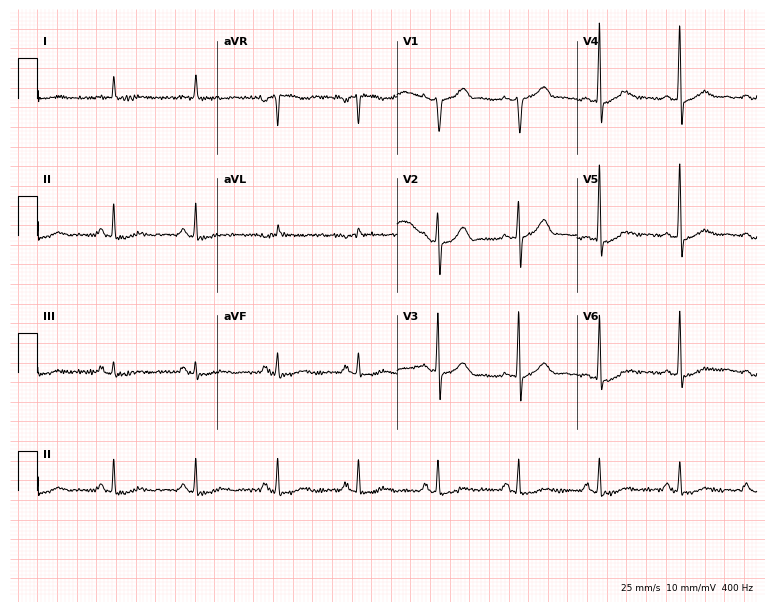
Resting 12-lead electrocardiogram. Patient: a 76-year-old man. None of these six findings is recorded: first-degree AV block, right bundle branch block, left bundle branch block, sinus bradycardia, atrial fibrillation, sinus tachycardia. Only these six findings were labelled.